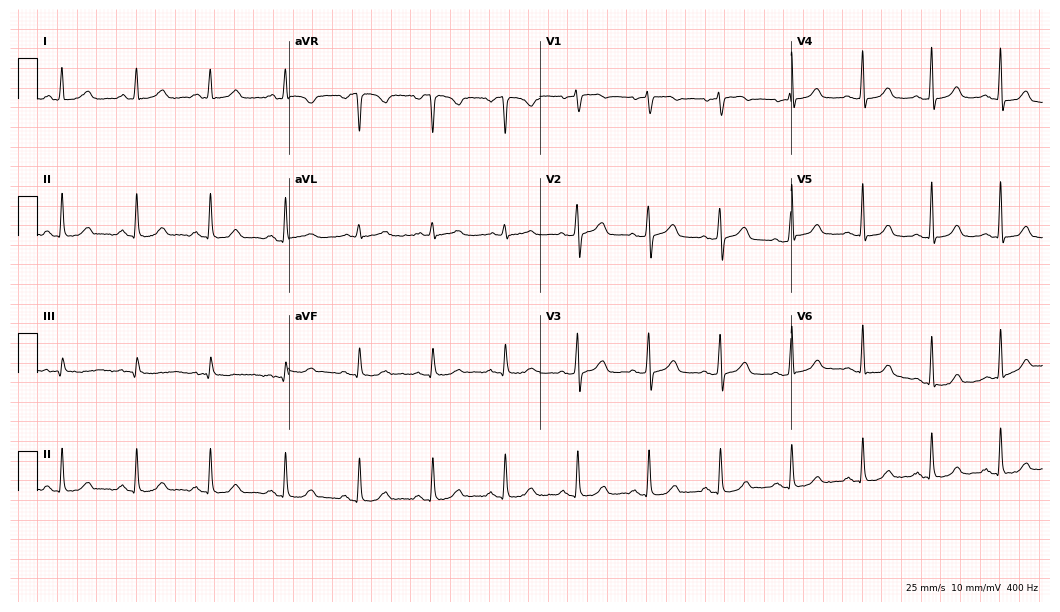
Resting 12-lead electrocardiogram (10.2-second recording at 400 Hz). Patient: a female, 54 years old. Read as a normal ECG.